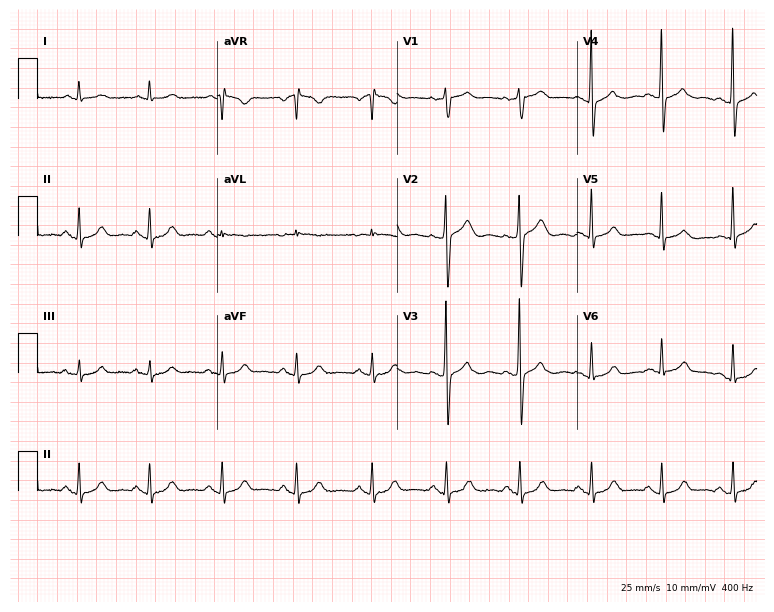
Electrocardiogram, a female patient, 84 years old. Of the six screened findings (first-degree AV block, right bundle branch block (RBBB), left bundle branch block (LBBB), sinus bradycardia, atrial fibrillation (AF), sinus tachycardia), none is recorded.